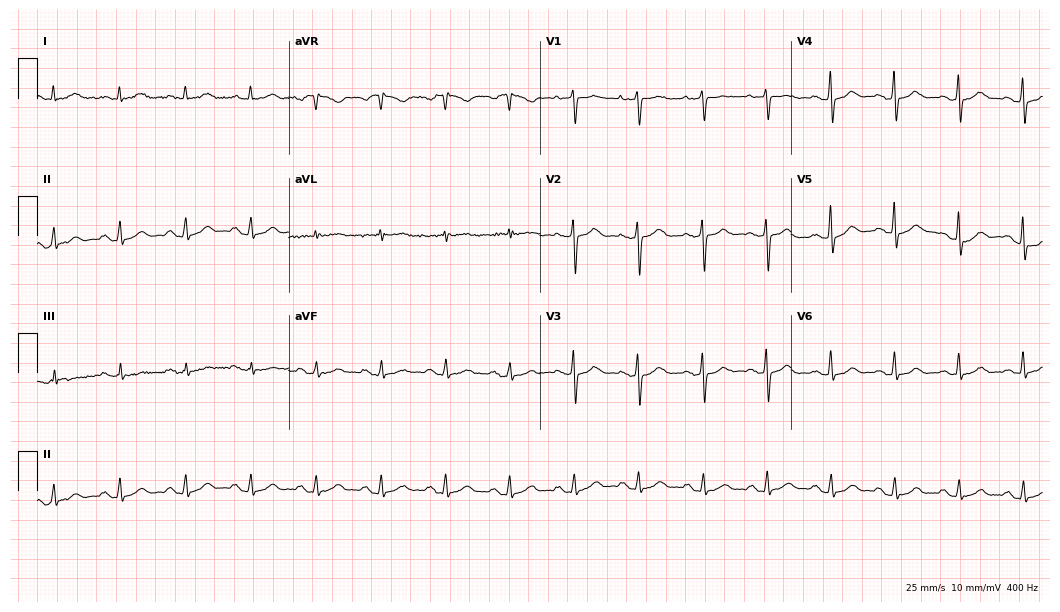
Resting 12-lead electrocardiogram. Patient: a woman, 65 years old. Read as a normal ECG.